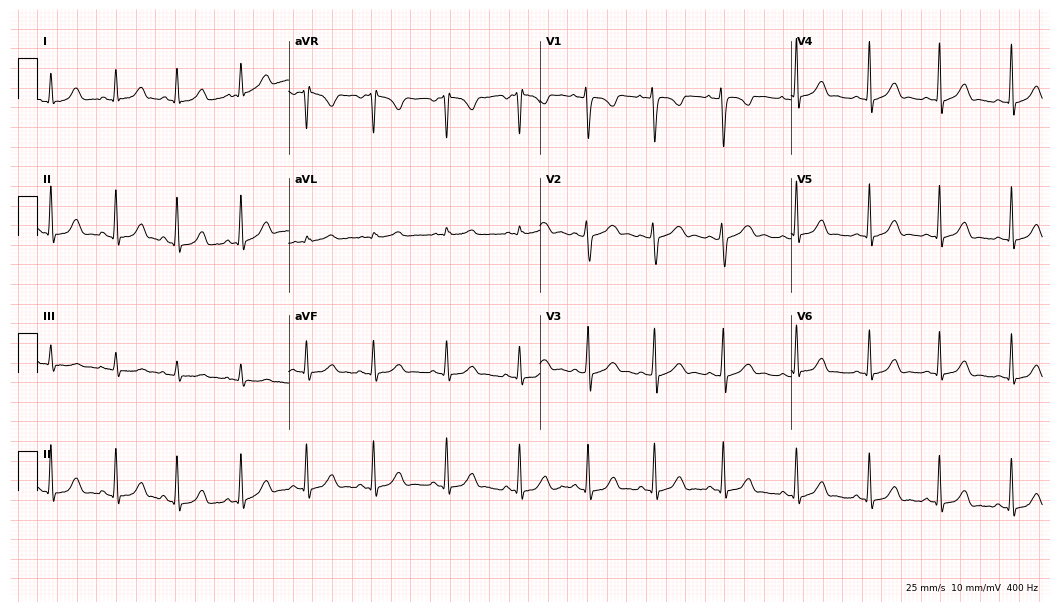
12-lead ECG from a 20-year-old female patient. Recorded interpretation: within normal limits.